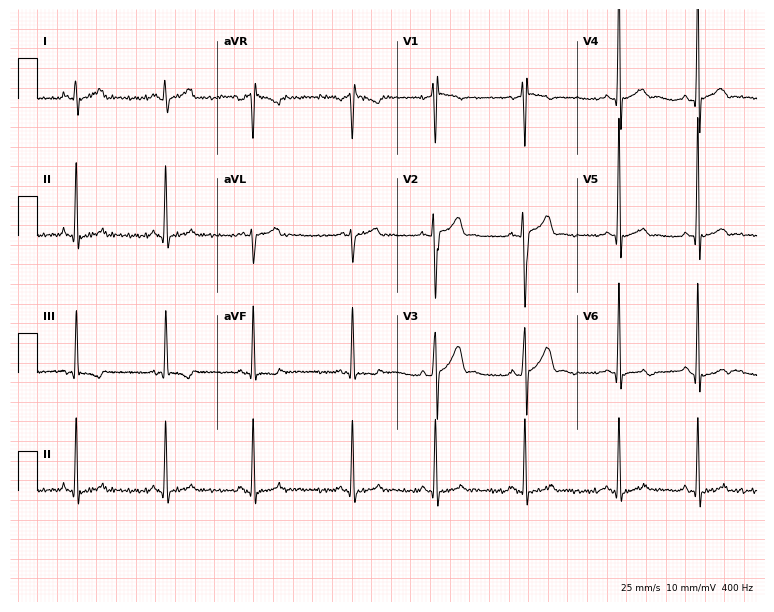
12-lead ECG (7.3-second recording at 400 Hz) from a male, 25 years old. Screened for six findings — first-degree AV block, right bundle branch block, left bundle branch block, sinus bradycardia, atrial fibrillation, sinus tachycardia — none is recorded. Other findings, if any, are not listed.